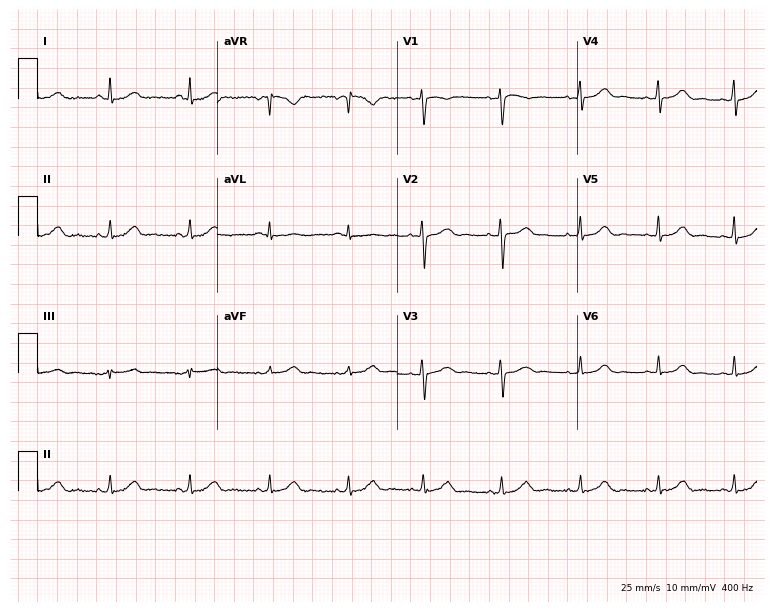
Standard 12-lead ECG recorded from a 34-year-old female patient (7.3-second recording at 400 Hz). None of these six findings is recorded: first-degree AV block, right bundle branch block, left bundle branch block, sinus bradycardia, atrial fibrillation, sinus tachycardia.